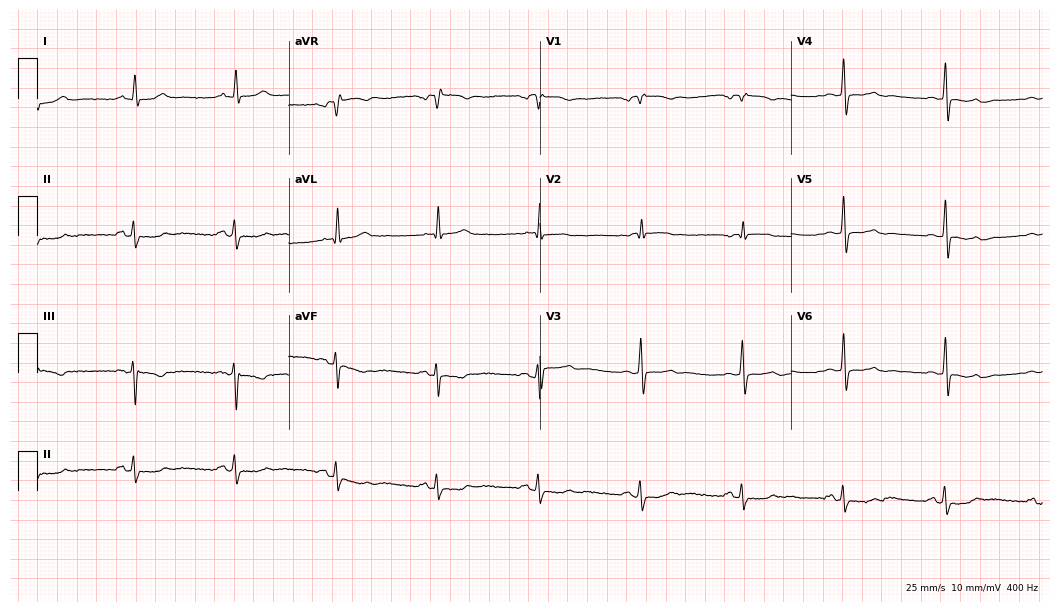
Standard 12-lead ECG recorded from a male patient, 73 years old (10.2-second recording at 400 Hz). None of these six findings is recorded: first-degree AV block, right bundle branch block, left bundle branch block, sinus bradycardia, atrial fibrillation, sinus tachycardia.